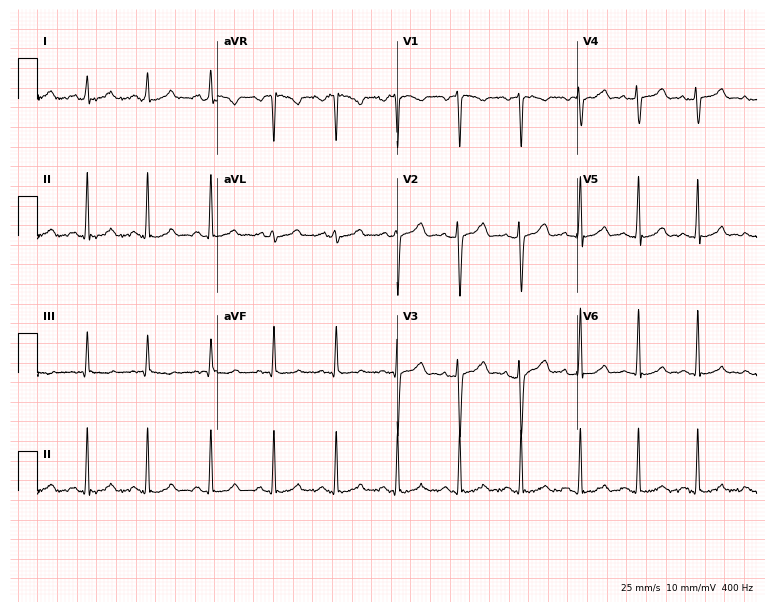
ECG (7.3-second recording at 400 Hz) — a female patient, 21 years old. Labelled as a normal ECG.